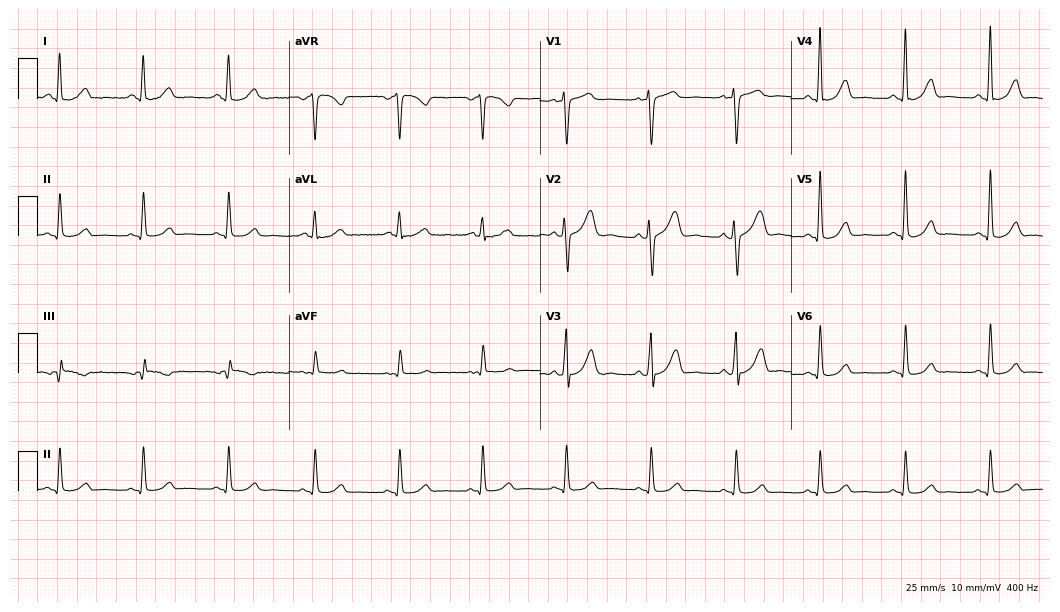
ECG — a 38-year-old male. Screened for six findings — first-degree AV block, right bundle branch block, left bundle branch block, sinus bradycardia, atrial fibrillation, sinus tachycardia — none is recorded.